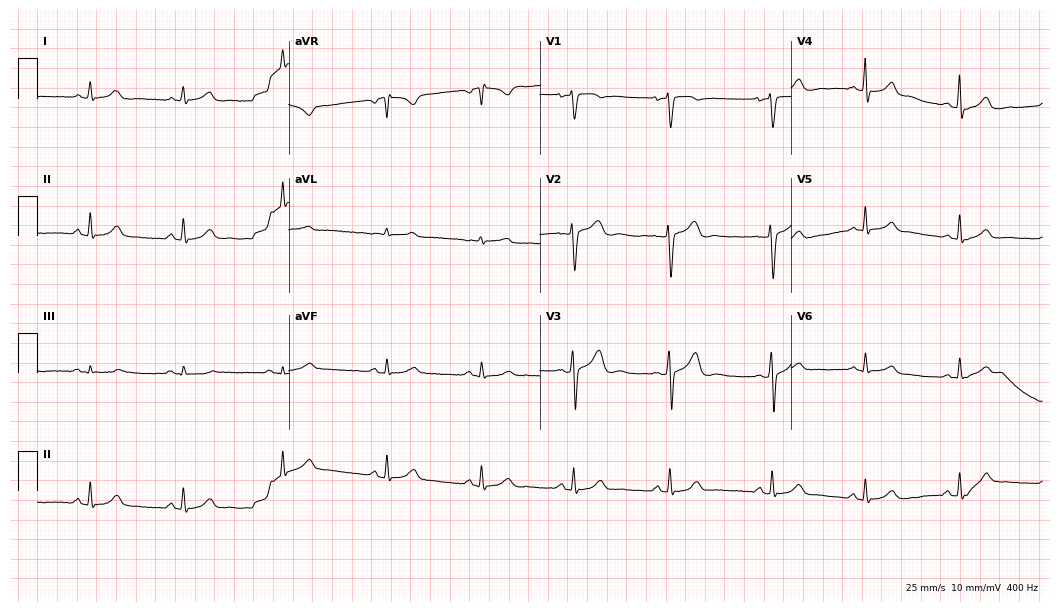
12-lead ECG (10.2-second recording at 400 Hz) from a 35-year-old female. Labelled as a normal ECG.